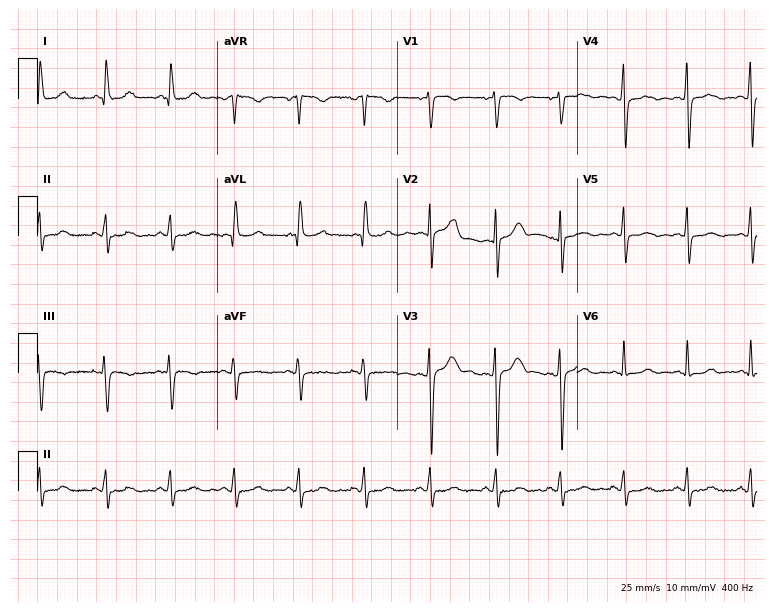
Resting 12-lead electrocardiogram (7.3-second recording at 400 Hz). Patient: an 83-year-old female. None of these six findings is recorded: first-degree AV block, right bundle branch block, left bundle branch block, sinus bradycardia, atrial fibrillation, sinus tachycardia.